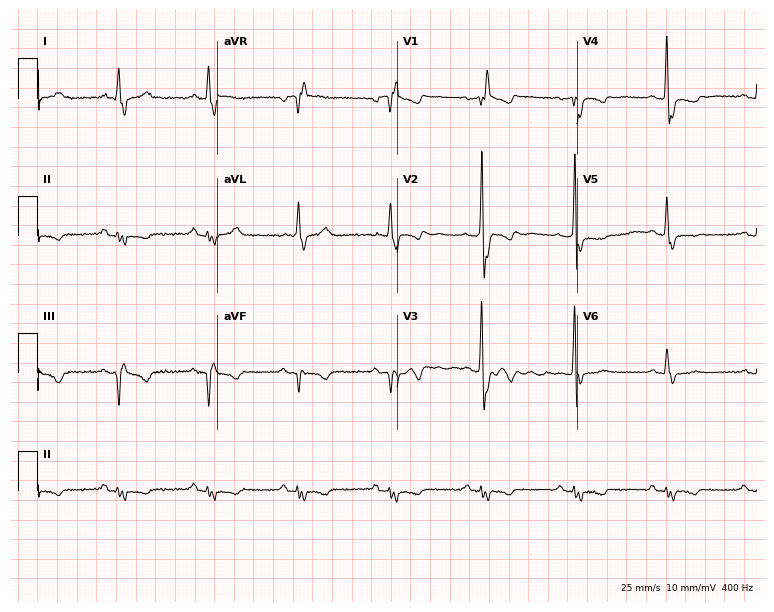
Electrocardiogram (7.3-second recording at 400 Hz), a 77-year-old male. Of the six screened findings (first-degree AV block, right bundle branch block, left bundle branch block, sinus bradycardia, atrial fibrillation, sinus tachycardia), none is recorded. Only these six findings were labelled.